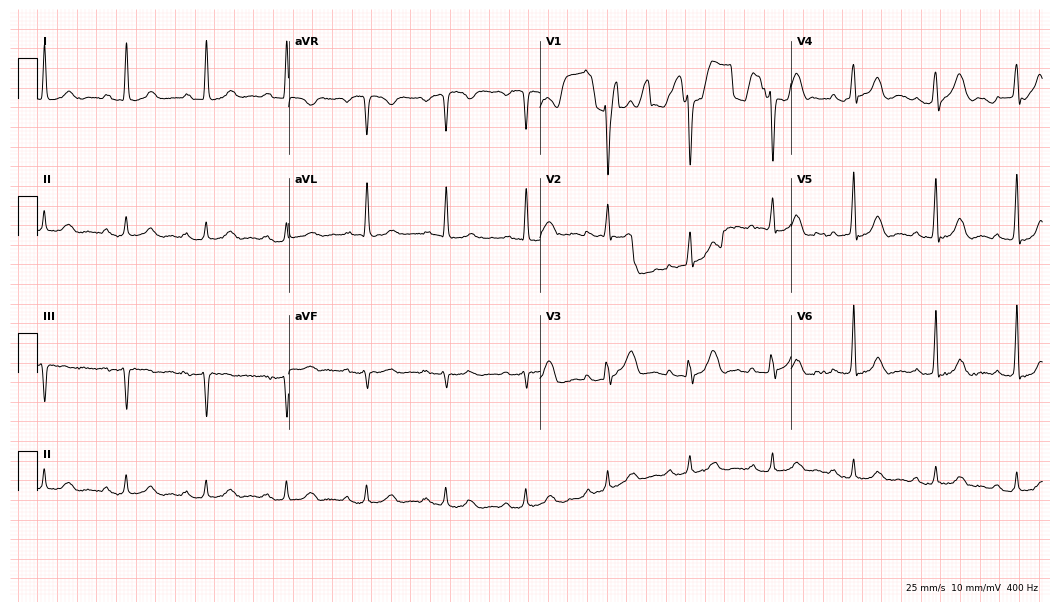
12-lead ECG from a 79-year-old male patient (10.2-second recording at 400 Hz). Recorded interpretation: within normal limits.